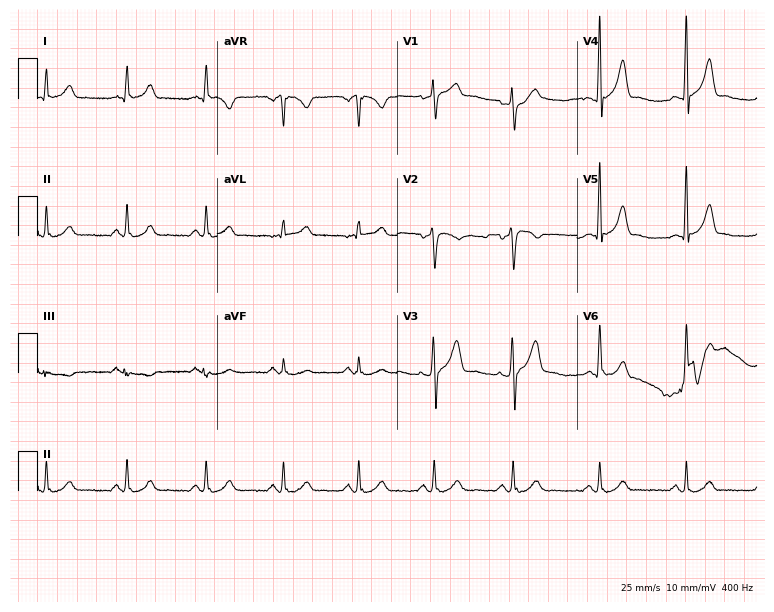
12-lead ECG (7.3-second recording at 400 Hz) from a male patient, 41 years old. Labelled as a normal ECG.